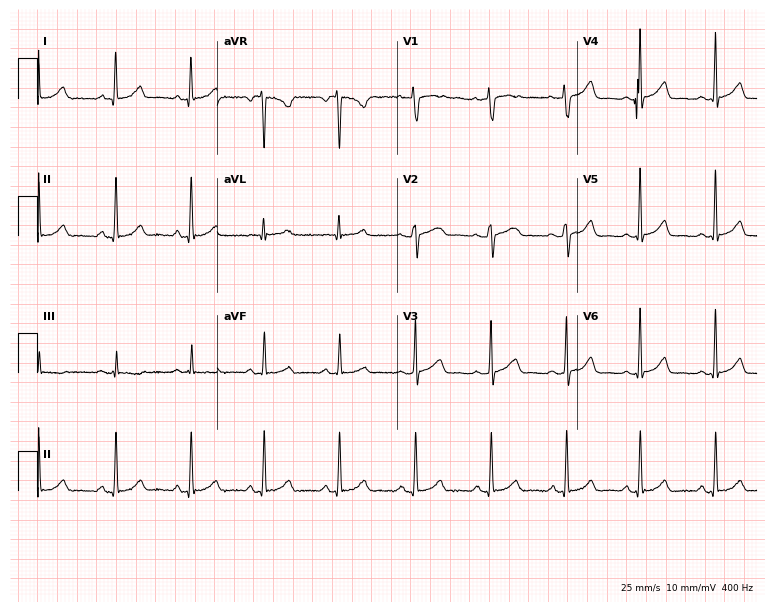
Resting 12-lead electrocardiogram (7.3-second recording at 400 Hz). Patient: a female, 27 years old. Read as a normal ECG.